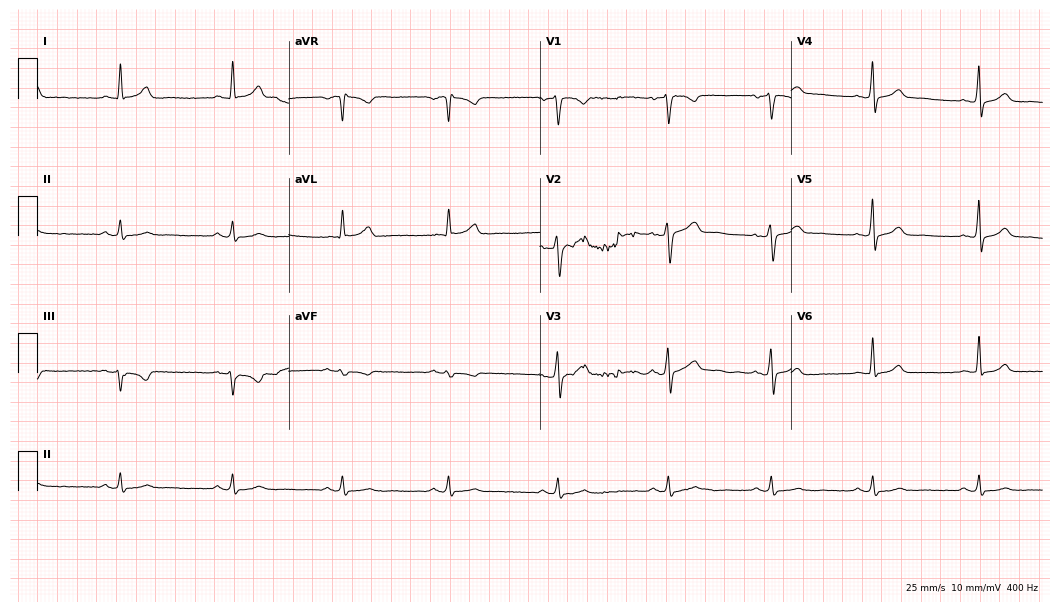
12-lead ECG (10.2-second recording at 400 Hz) from a male, 46 years old. Labelled as a normal ECG.